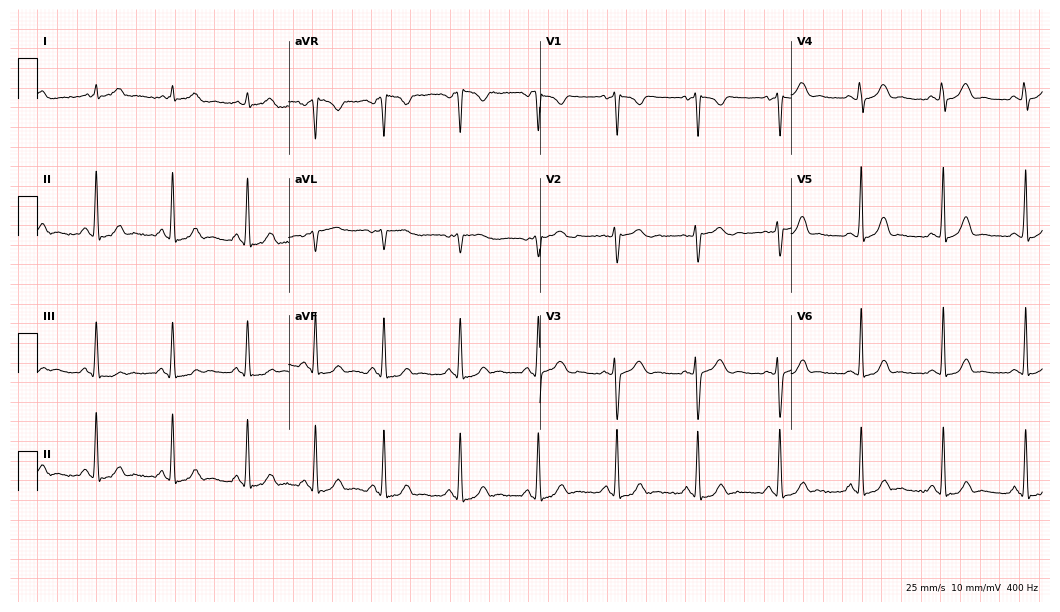
Resting 12-lead electrocardiogram. Patient: a 22-year-old female. Read as a normal ECG.